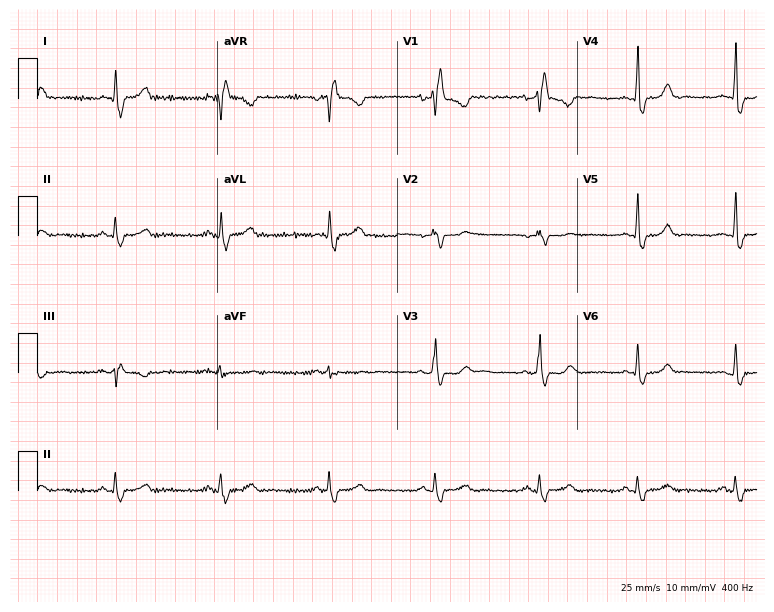
Standard 12-lead ECG recorded from a woman, 39 years old. The tracing shows right bundle branch block.